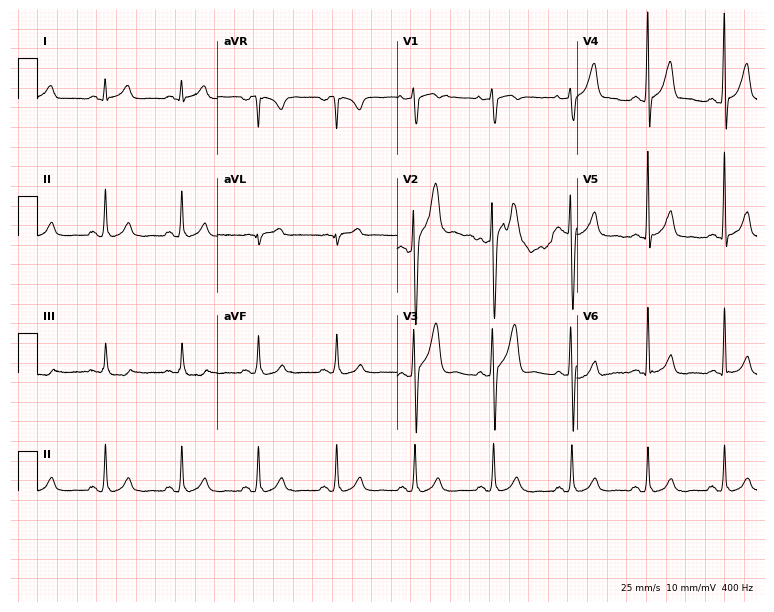
Resting 12-lead electrocardiogram. Patient: a male, 44 years old. None of these six findings is recorded: first-degree AV block, right bundle branch block, left bundle branch block, sinus bradycardia, atrial fibrillation, sinus tachycardia. Only these six findings were labelled.